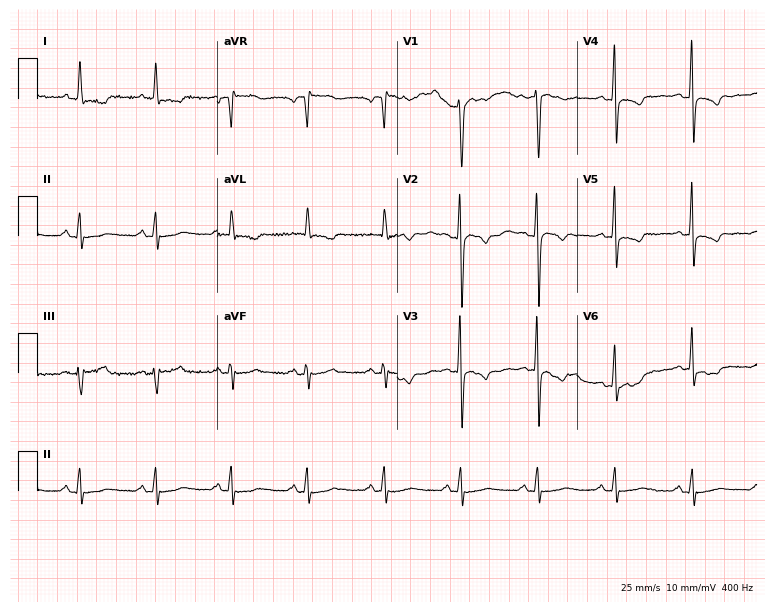
ECG — a woman, 56 years old. Labelled as a normal ECG.